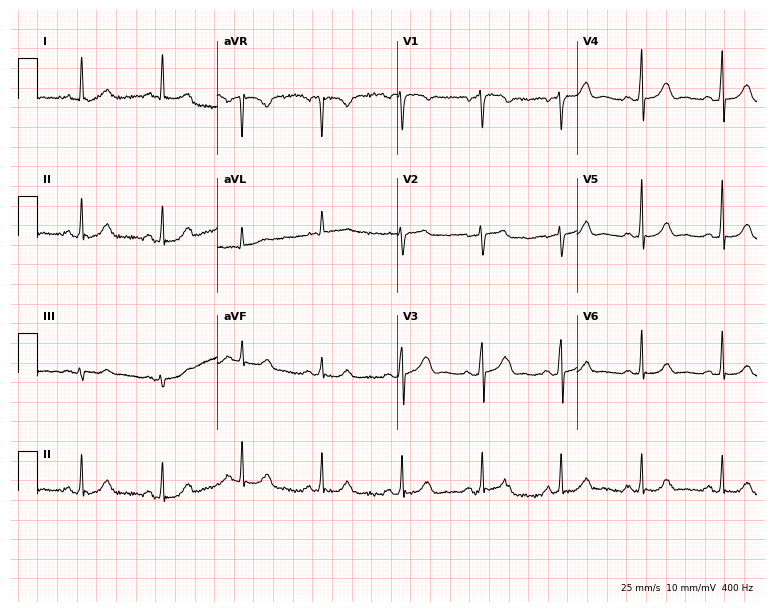
Electrocardiogram (7.3-second recording at 400 Hz), a 68-year-old woman. Overall reading on record: normal ECG.